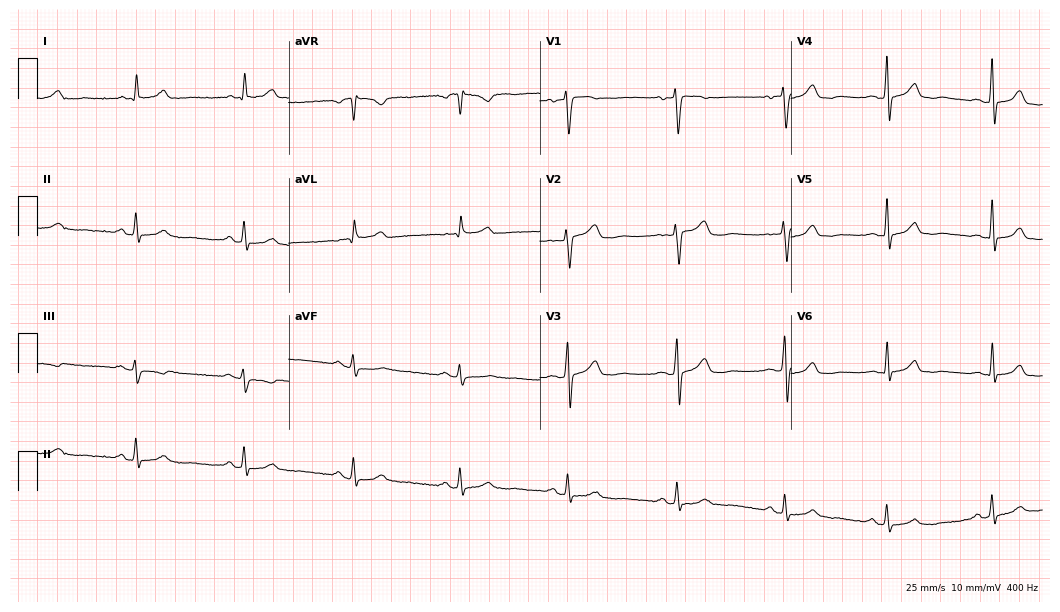
Resting 12-lead electrocardiogram (10.2-second recording at 400 Hz). Patient: a 45-year-old female. Read as a normal ECG.